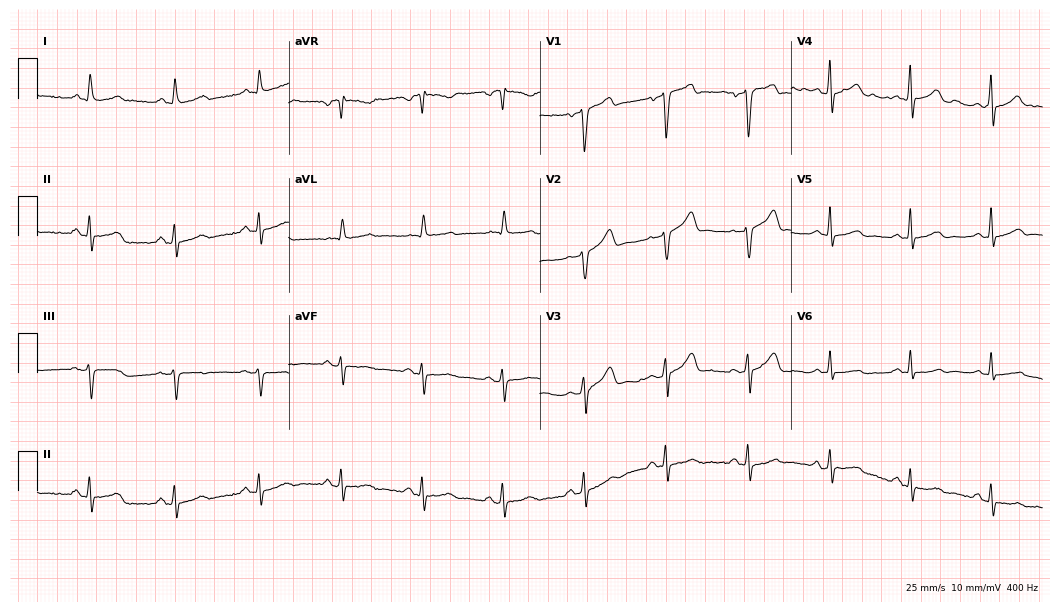
12-lead ECG from a 53-year-old man. Labelled as a normal ECG.